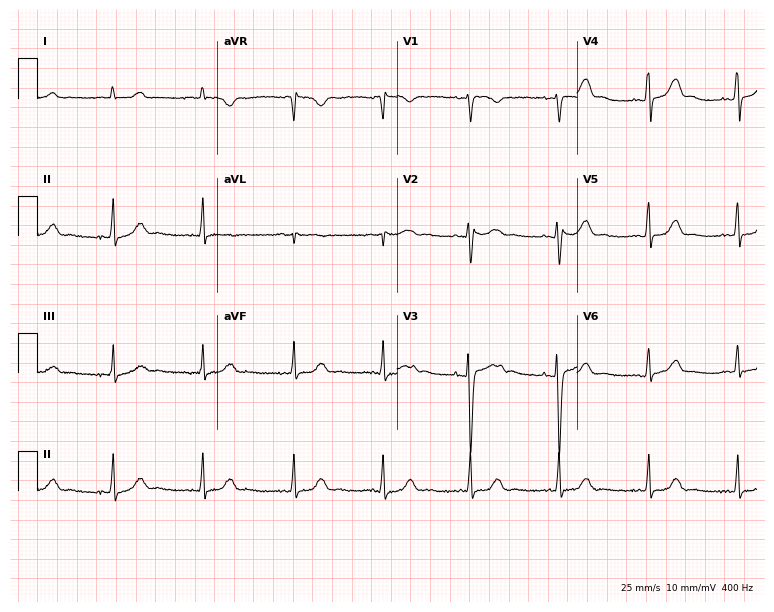
ECG (7.3-second recording at 400 Hz) — a 46-year-old female. Screened for six findings — first-degree AV block, right bundle branch block, left bundle branch block, sinus bradycardia, atrial fibrillation, sinus tachycardia — none is recorded. Other findings, if any, are not listed.